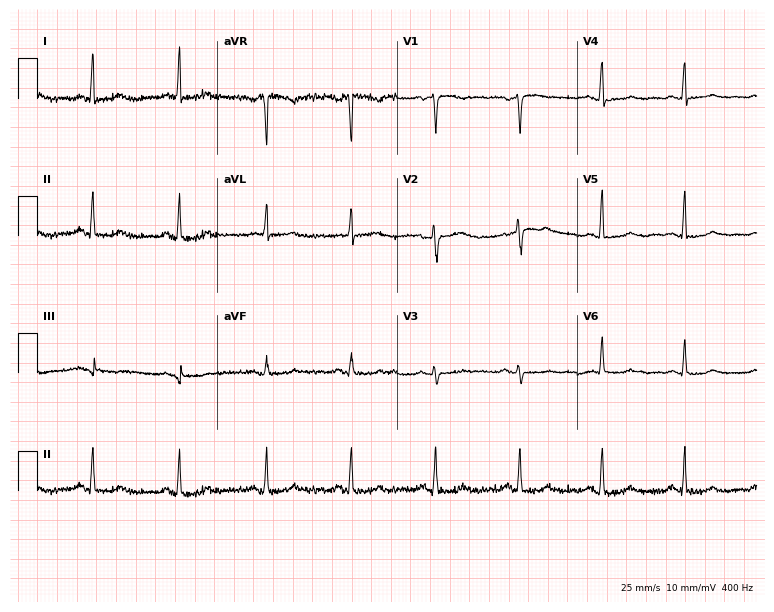
Electrocardiogram, a 66-year-old female patient. Overall reading on record: normal ECG.